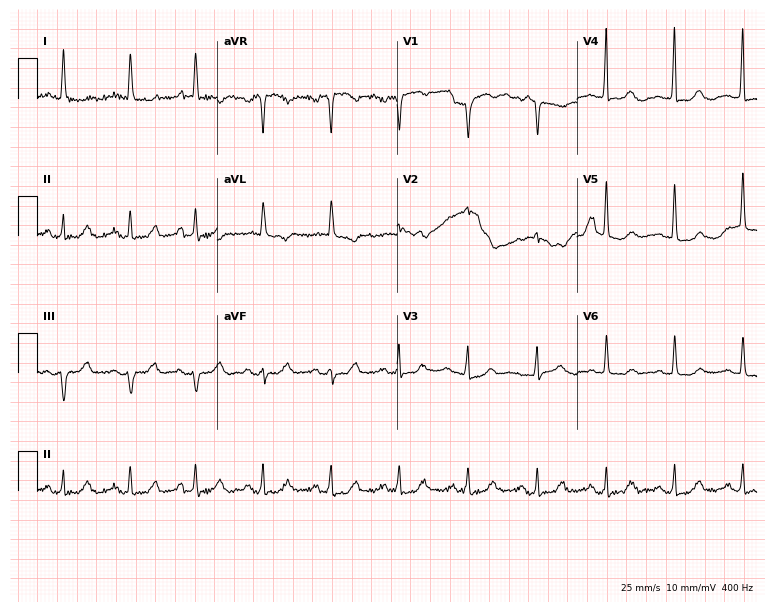
12-lead ECG from a woman, 77 years old. No first-degree AV block, right bundle branch block, left bundle branch block, sinus bradycardia, atrial fibrillation or sinus tachycardia recorded for this tracing.